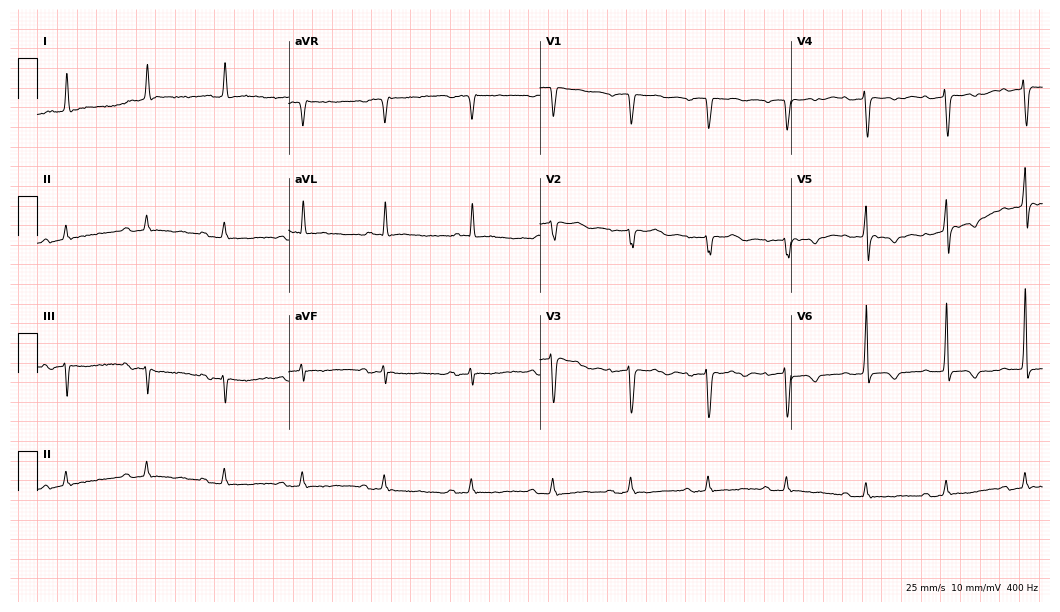
Standard 12-lead ECG recorded from a male patient, 82 years old. None of these six findings is recorded: first-degree AV block, right bundle branch block, left bundle branch block, sinus bradycardia, atrial fibrillation, sinus tachycardia. Findings outside these six are not listed.